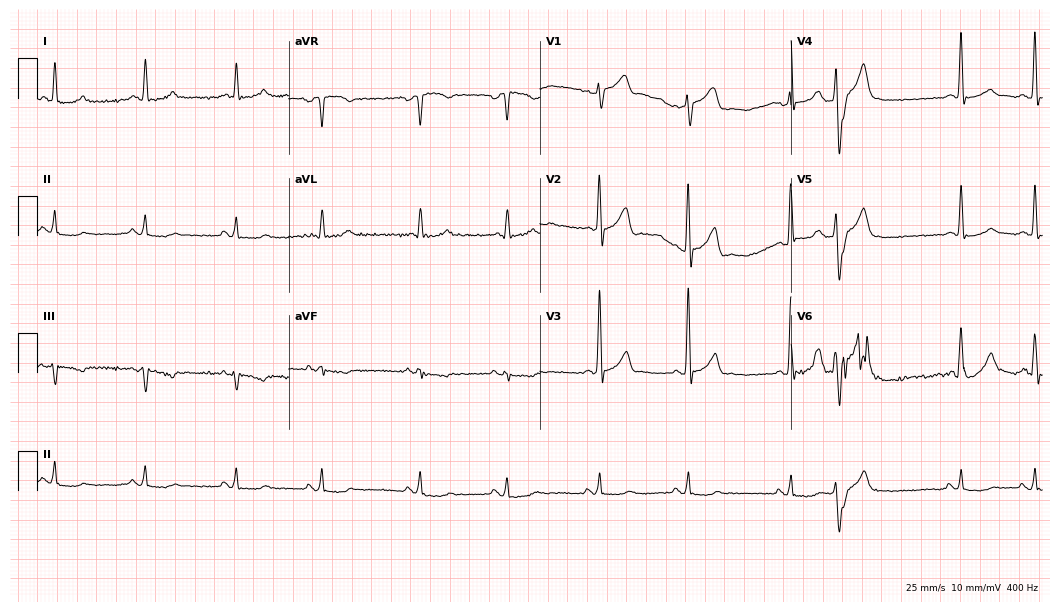
12-lead ECG (10.2-second recording at 400 Hz) from a male, 68 years old. Screened for six findings — first-degree AV block, right bundle branch block, left bundle branch block, sinus bradycardia, atrial fibrillation, sinus tachycardia — none is recorded. Findings outside these six are not listed.